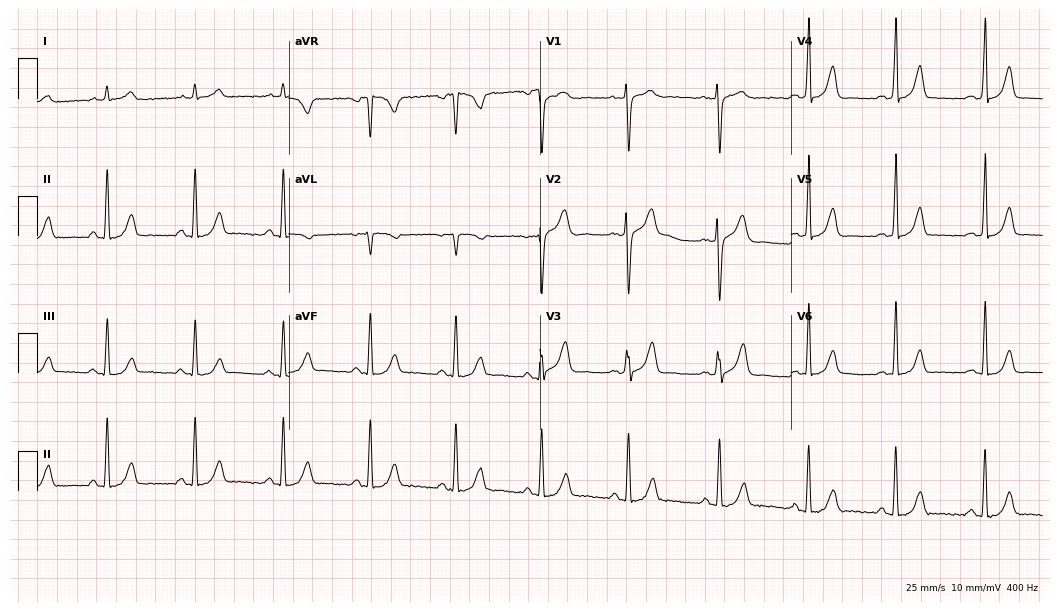
Electrocardiogram (10.2-second recording at 400 Hz), a female, 31 years old. Overall reading on record: normal ECG.